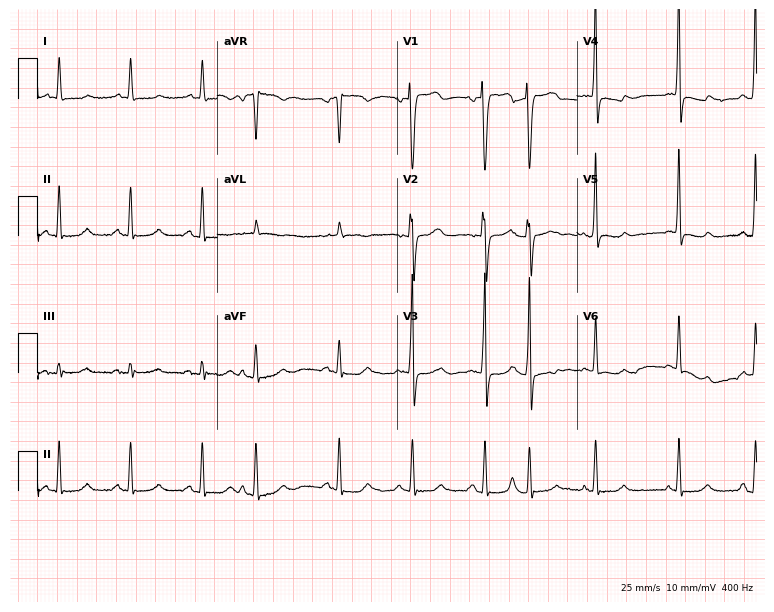
Electrocardiogram (7.3-second recording at 400 Hz), an 85-year-old woman. Of the six screened findings (first-degree AV block, right bundle branch block, left bundle branch block, sinus bradycardia, atrial fibrillation, sinus tachycardia), none is recorded. Findings outside these six are not listed.